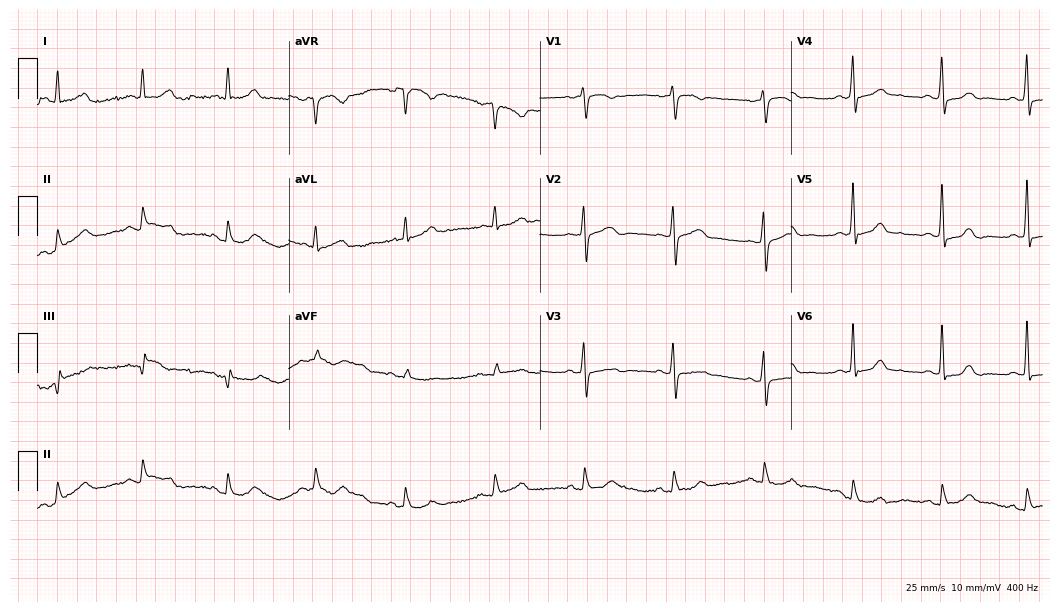
Resting 12-lead electrocardiogram. Patient: a woman, 63 years old. Read as a normal ECG.